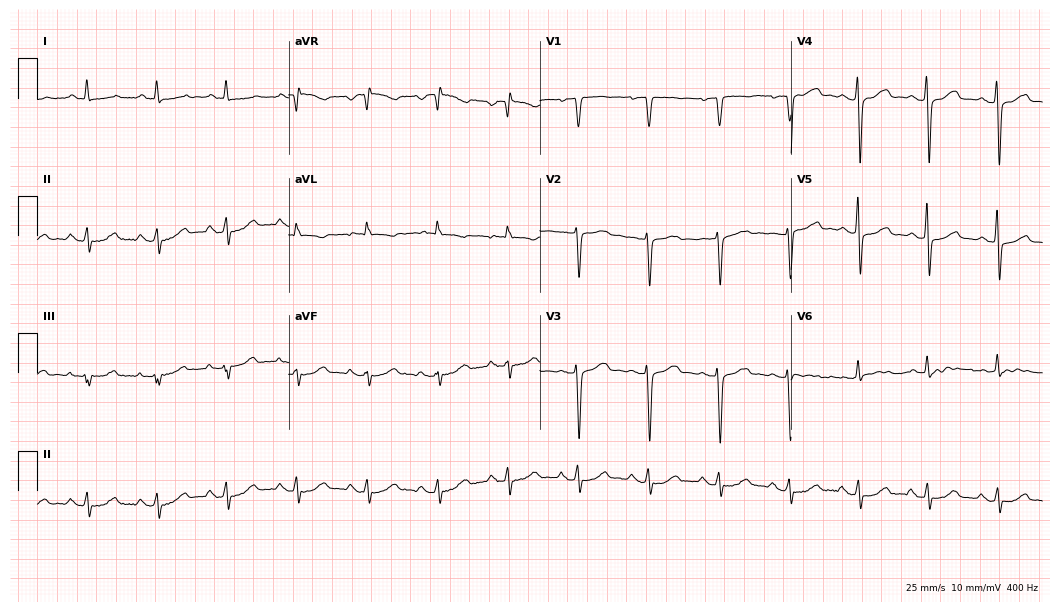
Resting 12-lead electrocardiogram (10.2-second recording at 400 Hz). Patient: a woman, 56 years old. None of these six findings is recorded: first-degree AV block, right bundle branch block, left bundle branch block, sinus bradycardia, atrial fibrillation, sinus tachycardia.